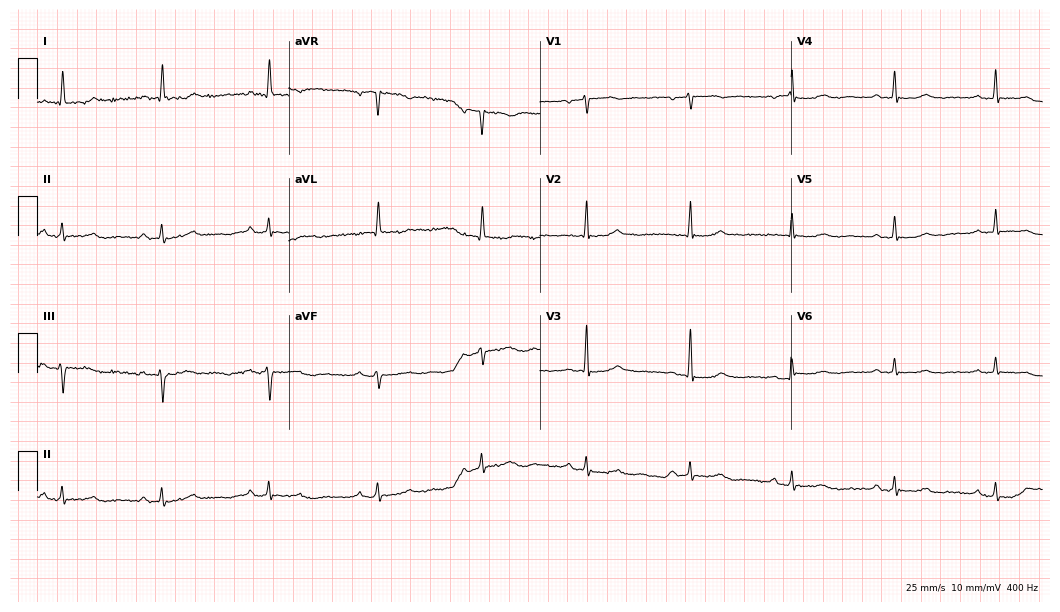
Resting 12-lead electrocardiogram (10.2-second recording at 400 Hz). Patient: a 74-year-old woman. None of these six findings is recorded: first-degree AV block, right bundle branch block, left bundle branch block, sinus bradycardia, atrial fibrillation, sinus tachycardia.